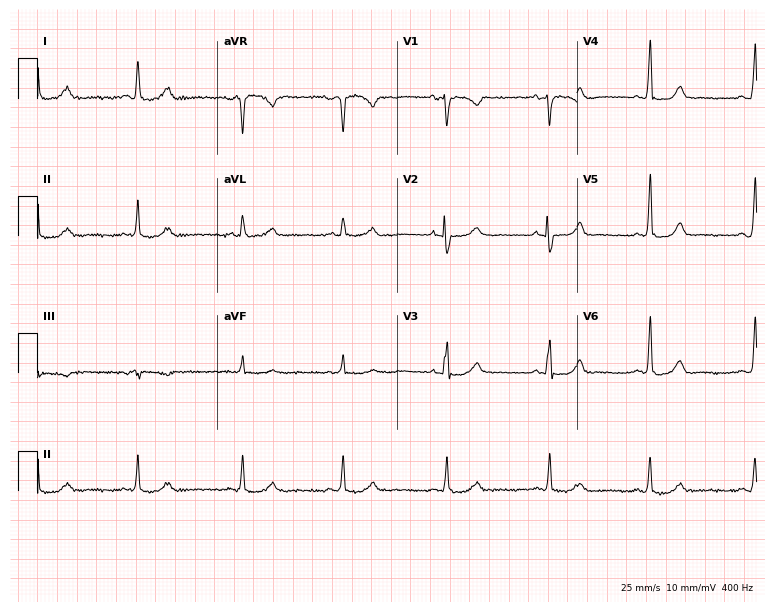
12-lead ECG from a 50-year-old female (7.3-second recording at 400 Hz). No first-degree AV block, right bundle branch block, left bundle branch block, sinus bradycardia, atrial fibrillation or sinus tachycardia recorded for this tracing. Findings outside these six are not listed.